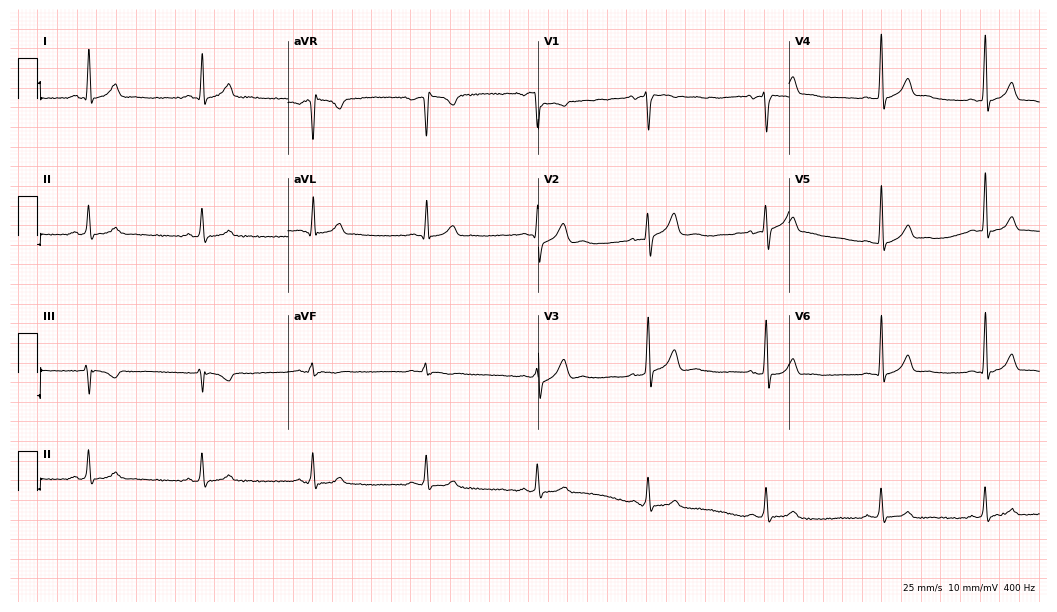
Electrocardiogram (10.2-second recording at 400 Hz), a male patient, 30 years old. Of the six screened findings (first-degree AV block, right bundle branch block, left bundle branch block, sinus bradycardia, atrial fibrillation, sinus tachycardia), none is recorded.